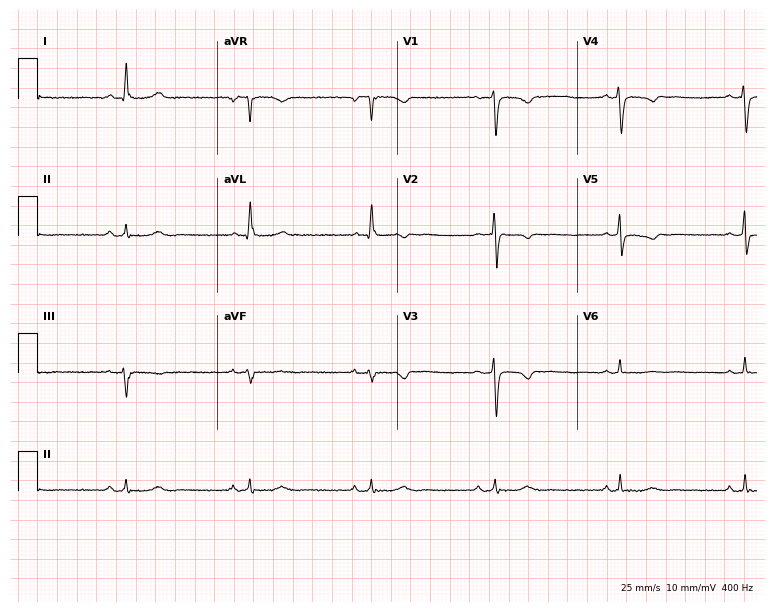
ECG (7.3-second recording at 400 Hz) — a 61-year-old woman. Findings include sinus bradycardia (a sinus rate of 50 beats per minute or less).